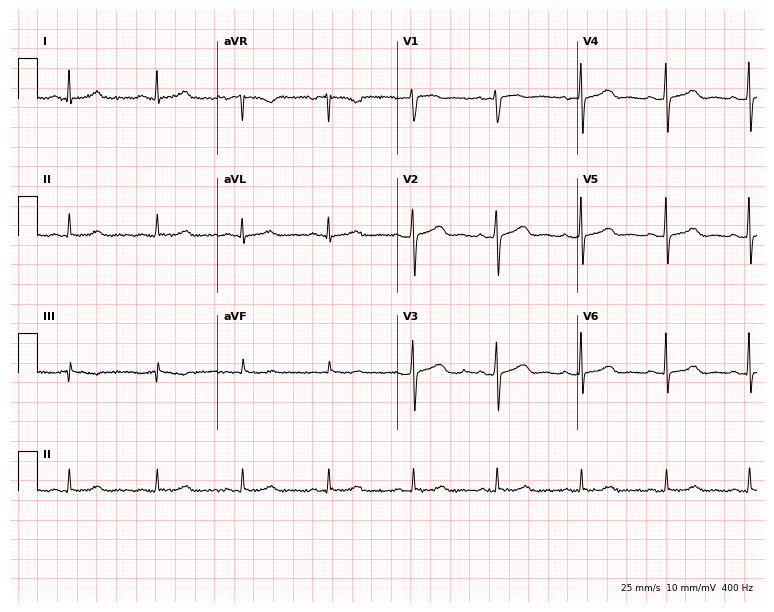
Resting 12-lead electrocardiogram (7.3-second recording at 400 Hz). Patient: a 52-year-old woman. Read as a normal ECG.